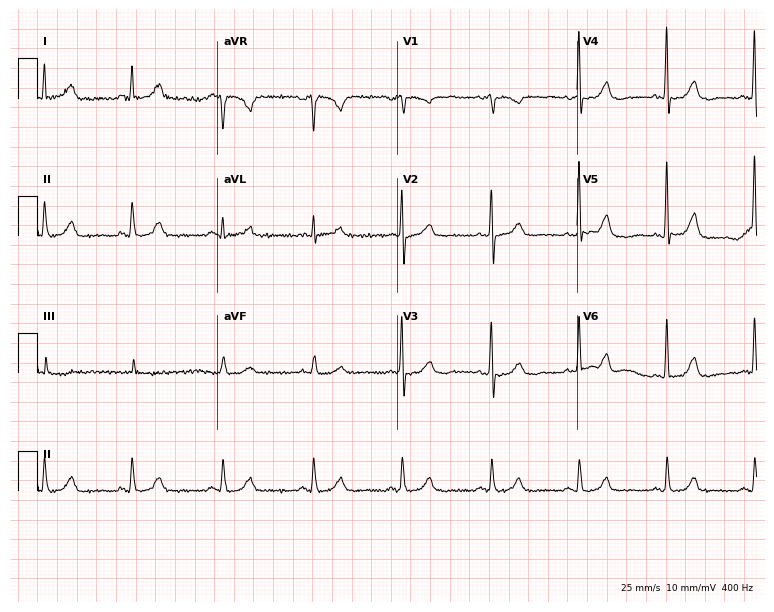
Electrocardiogram (7.3-second recording at 400 Hz), a female patient, 73 years old. Of the six screened findings (first-degree AV block, right bundle branch block (RBBB), left bundle branch block (LBBB), sinus bradycardia, atrial fibrillation (AF), sinus tachycardia), none is recorded.